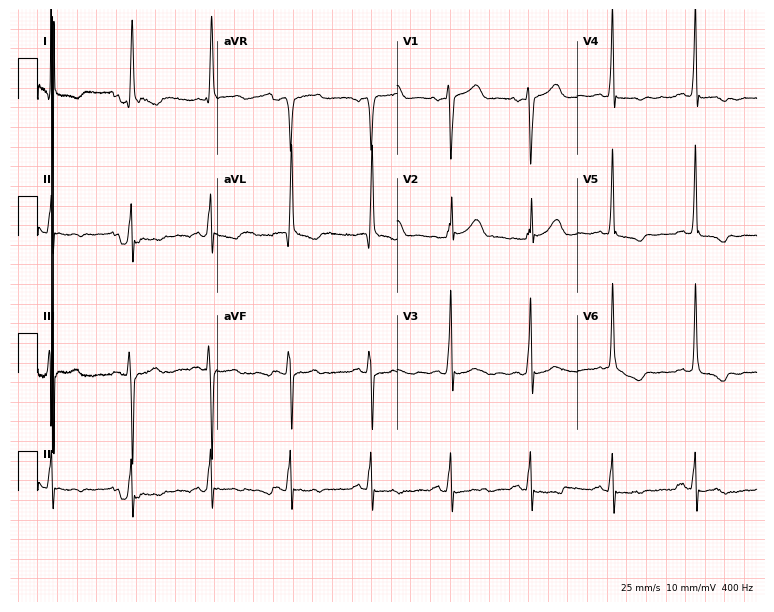
12-lead ECG from a female patient, 70 years old. No first-degree AV block, right bundle branch block, left bundle branch block, sinus bradycardia, atrial fibrillation or sinus tachycardia recorded for this tracing. Findings outside these six are not listed.